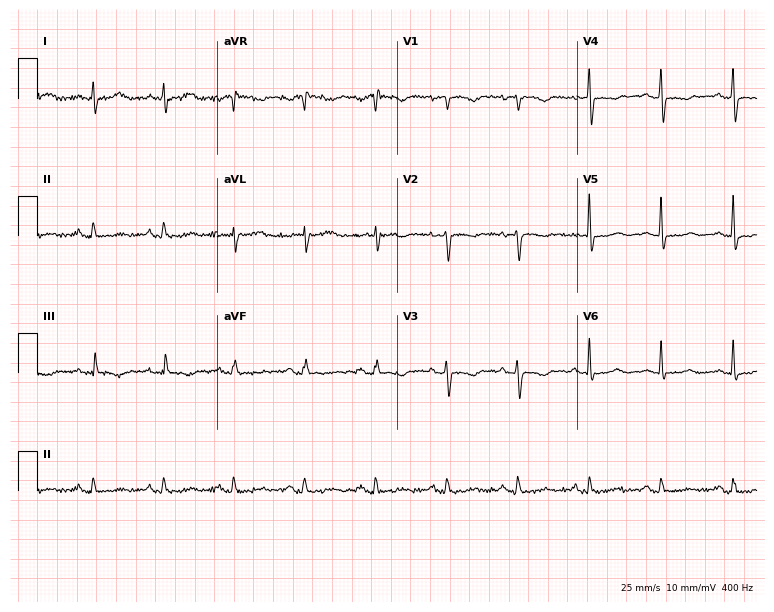
Standard 12-lead ECG recorded from a female, 75 years old (7.3-second recording at 400 Hz). None of these six findings is recorded: first-degree AV block, right bundle branch block, left bundle branch block, sinus bradycardia, atrial fibrillation, sinus tachycardia. Only these six findings were labelled.